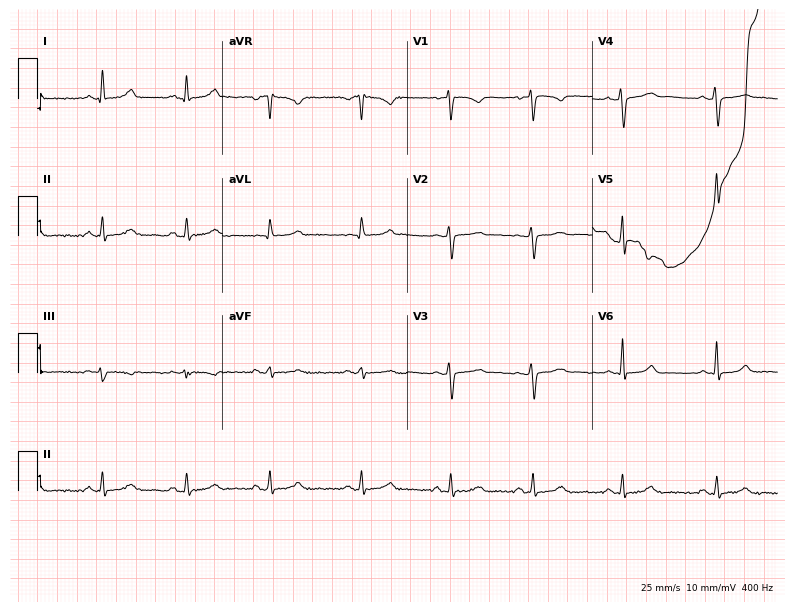
Electrocardiogram, a woman, 38 years old. Of the six screened findings (first-degree AV block, right bundle branch block (RBBB), left bundle branch block (LBBB), sinus bradycardia, atrial fibrillation (AF), sinus tachycardia), none is recorded. Other findings, if any, are not listed.